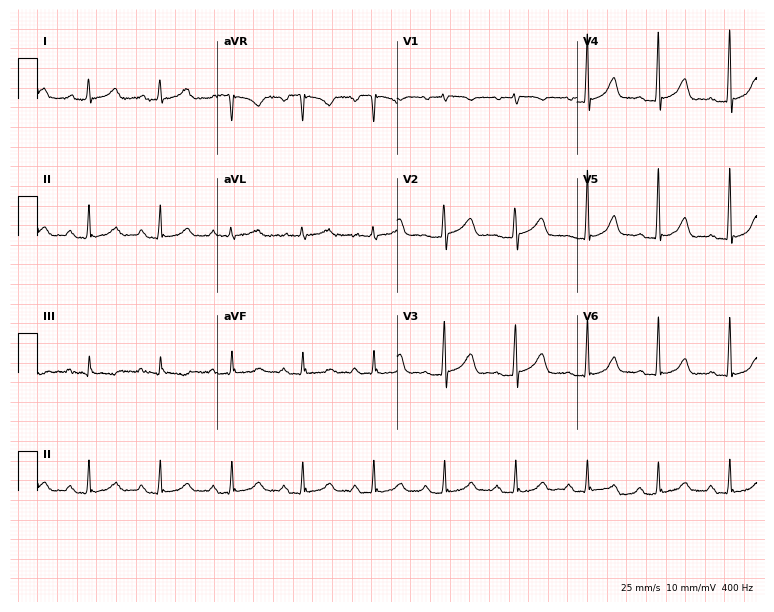
Resting 12-lead electrocardiogram. Patient: a female, 51 years old. None of these six findings is recorded: first-degree AV block, right bundle branch block (RBBB), left bundle branch block (LBBB), sinus bradycardia, atrial fibrillation (AF), sinus tachycardia.